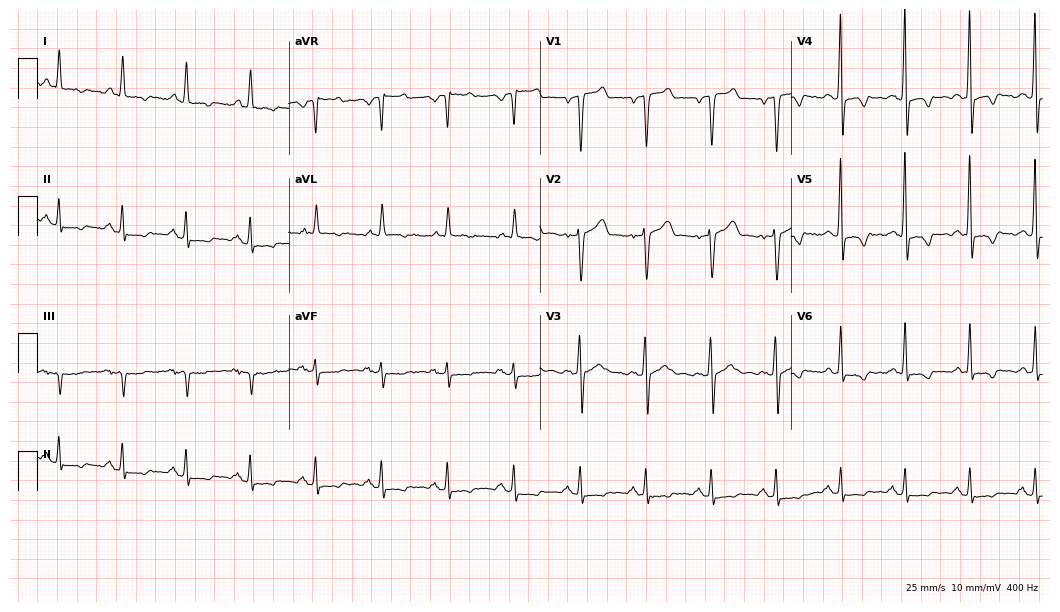
Standard 12-lead ECG recorded from a 61-year-old male patient. None of these six findings is recorded: first-degree AV block, right bundle branch block, left bundle branch block, sinus bradycardia, atrial fibrillation, sinus tachycardia.